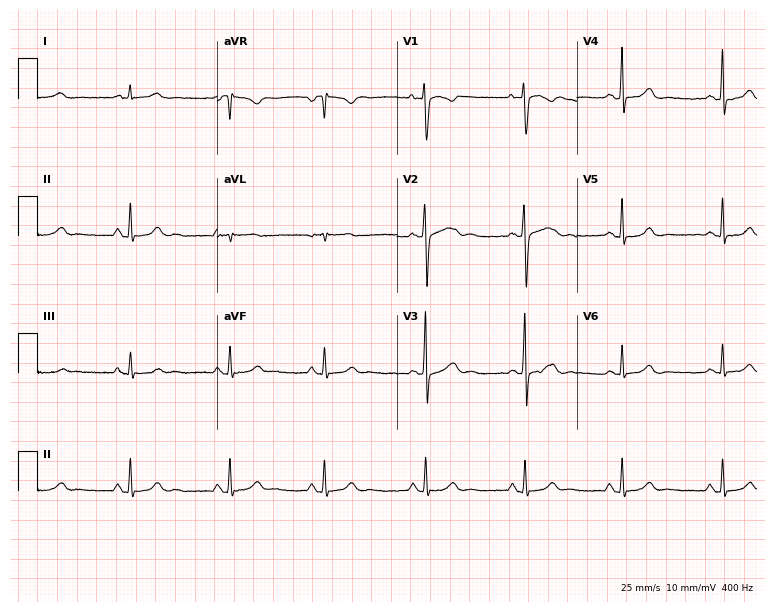
Resting 12-lead electrocardiogram (7.3-second recording at 400 Hz). Patient: a 27-year-old woman. None of these six findings is recorded: first-degree AV block, right bundle branch block, left bundle branch block, sinus bradycardia, atrial fibrillation, sinus tachycardia. Findings outside these six are not listed.